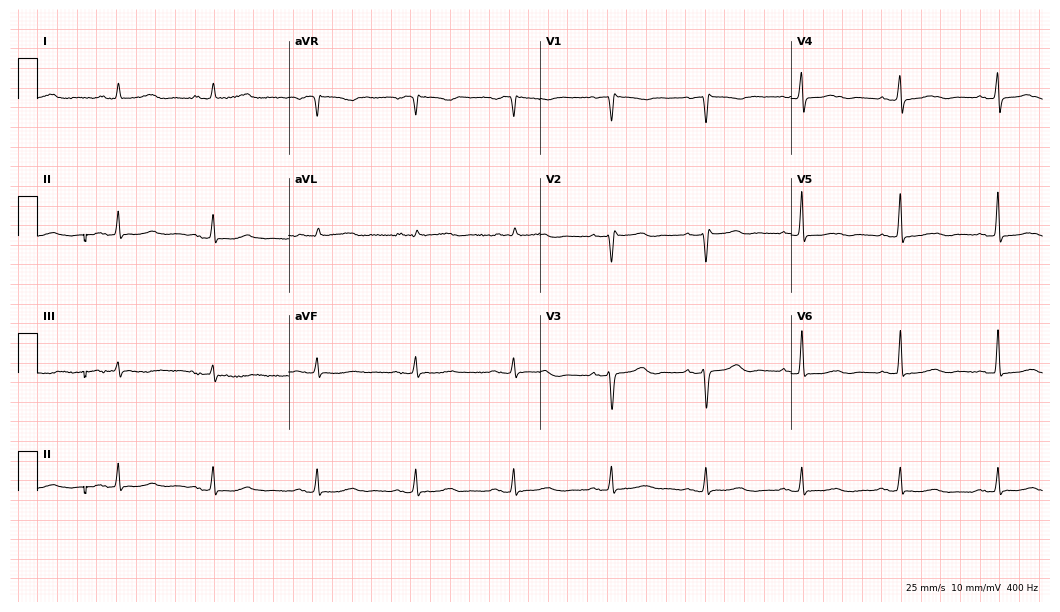
Electrocardiogram (10.2-second recording at 400 Hz), a woman, 47 years old. Of the six screened findings (first-degree AV block, right bundle branch block, left bundle branch block, sinus bradycardia, atrial fibrillation, sinus tachycardia), none is recorded. Only these six findings were labelled.